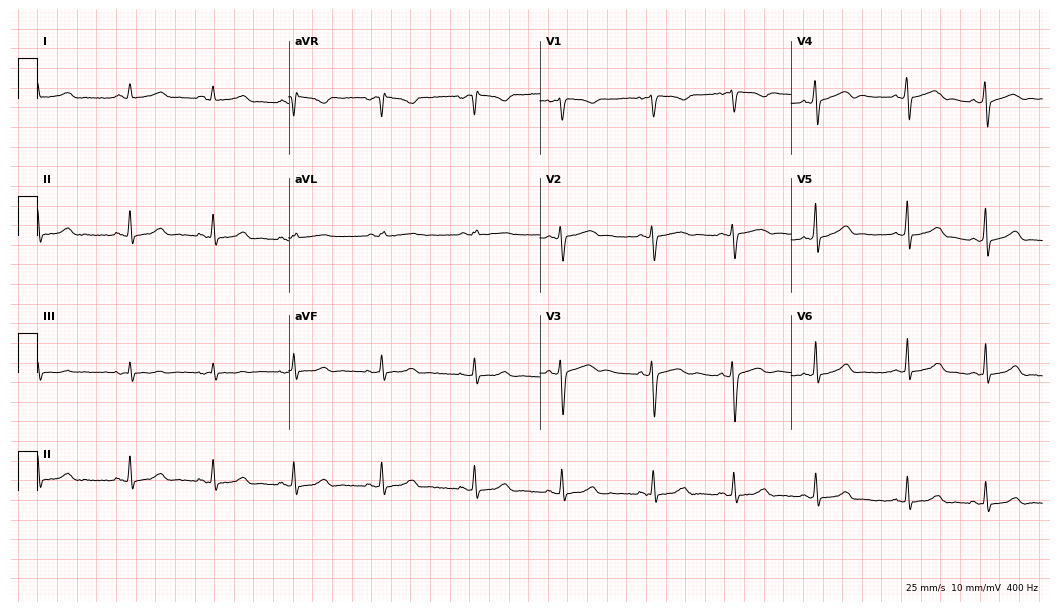
ECG (10.2-second recording at 400 Hz) — a female, 22 years old. Screened for six findings — first-degree AV block, right bundle branch block (RBBB), left bundle branch block (LBBB), sinus bradycardia, atrial fibrillation (AF), sinus tachycardia — none is recorded.